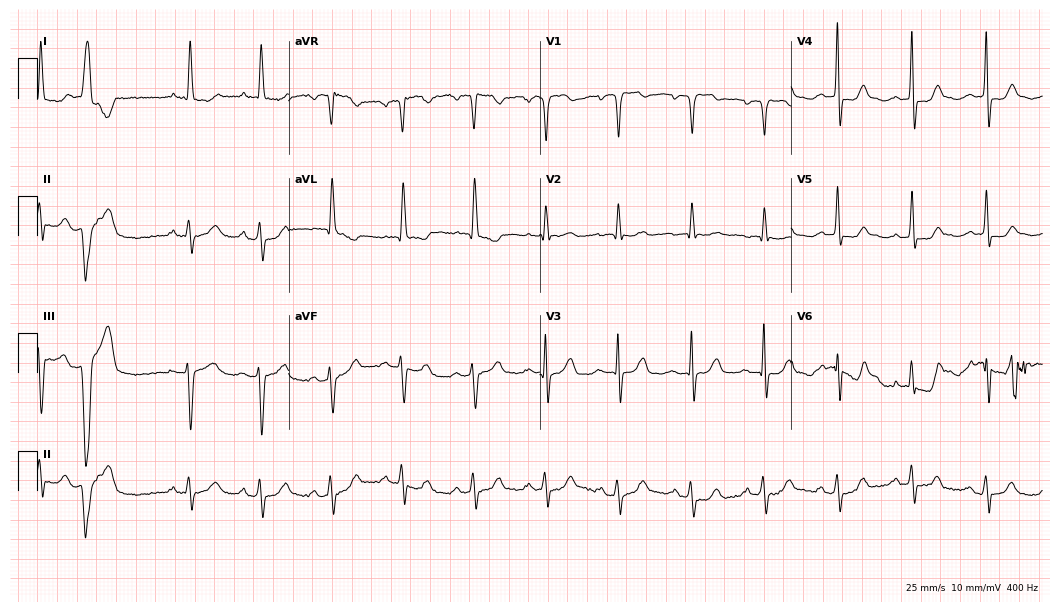
12-lead ECG from an 81-year-old female patient. No first-degree AV block, right bundle branch block, left bundle branch block, sinus bradycardia, atrial fibrillation or sinus tachycardia recorded for this tracing.